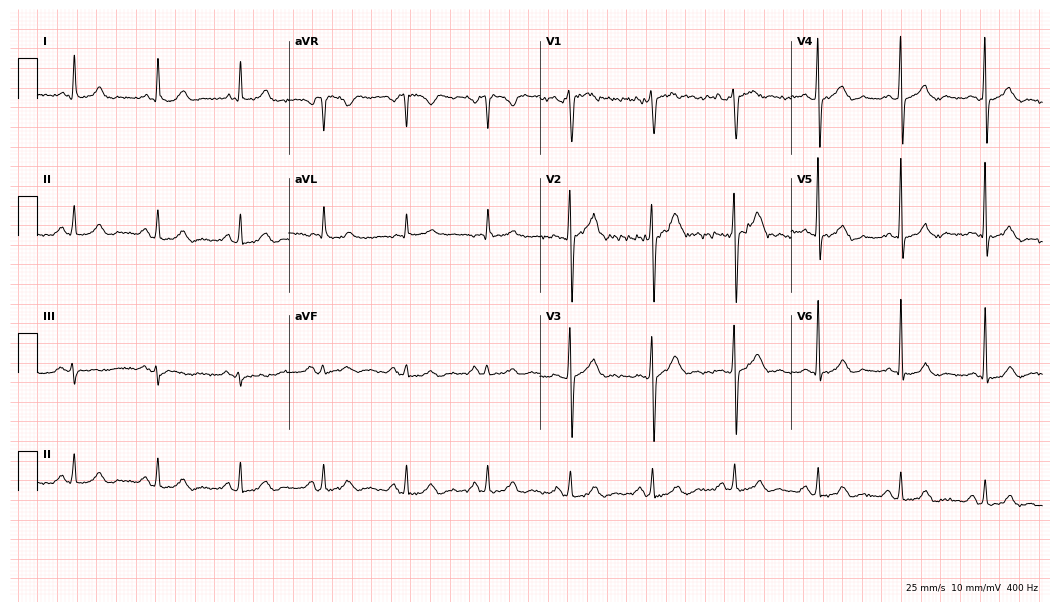
Standard 12-lead ECG recorded from a man, 59 years old (10.2-second recording at 400 Hz). Read as a normal ECG.